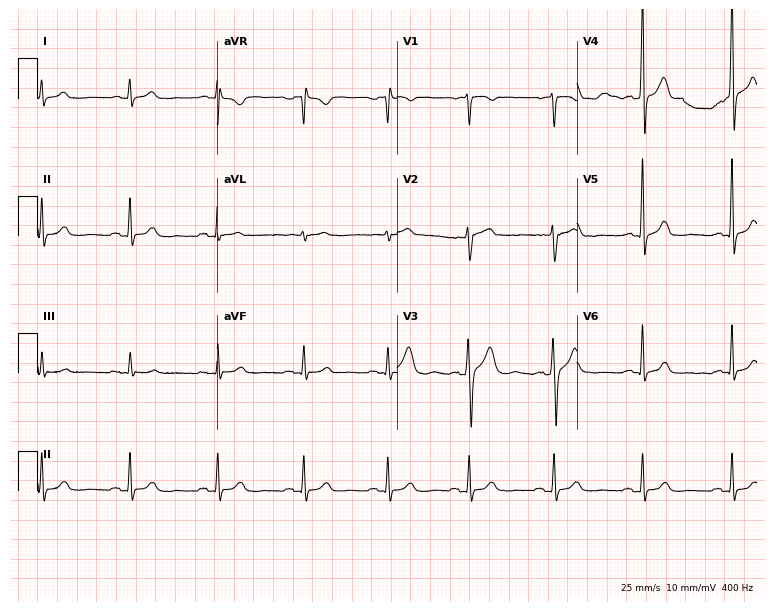
Resting 12-lead electrocardiogram. Patient: a man, 31 years old. None of these six findings is recorded: first-degree AV block, right bundle branch block, left bundle branch block, sinus bradycardia, atrial fibrillation, sinus tachycardia. Only these six findings were labelled.